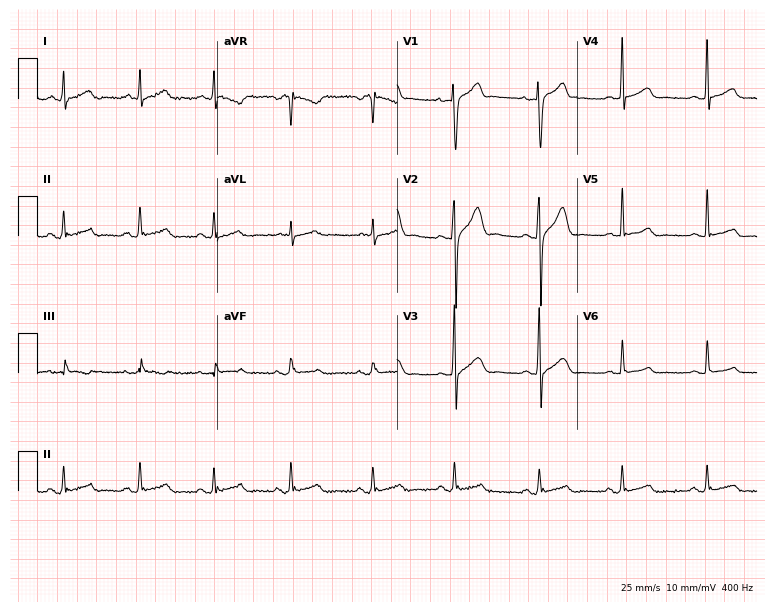
Electrocardiogram (7.3-second recording at 400 Hz), a 30-year-old male. Overall reading on record: normal ECG.